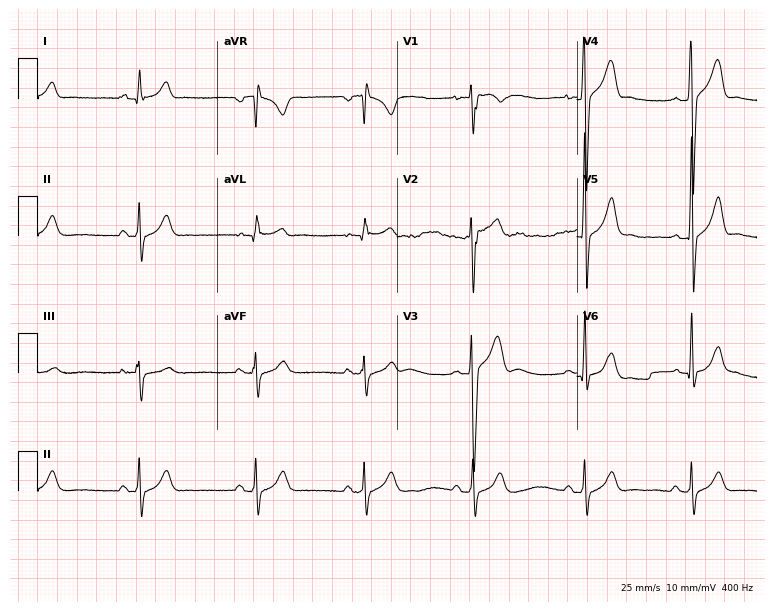
12-lead ECG from a 26-year-old male patient (7.3-second recording at 400 Hz). Recorded interpretation: within normal limits.